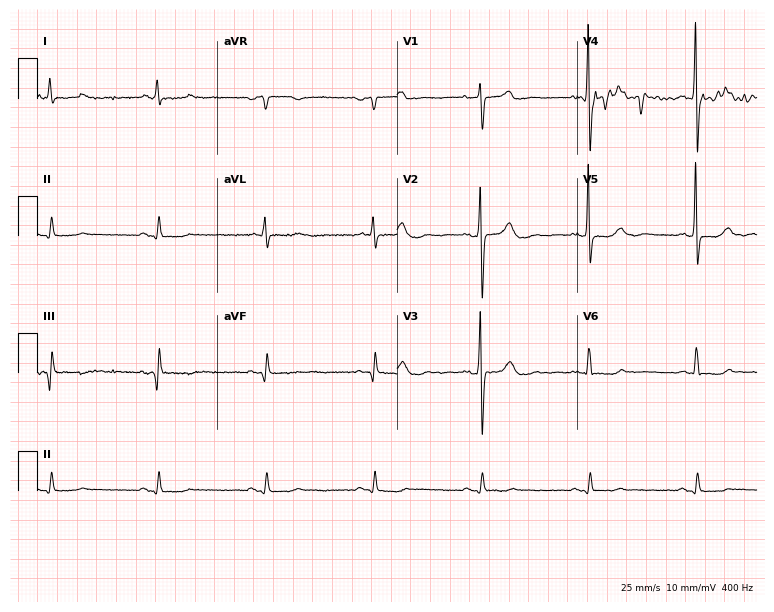
Resting 12-lead electrocardiogram. Patient: a 62-year-old male. Read as a normal ECG.